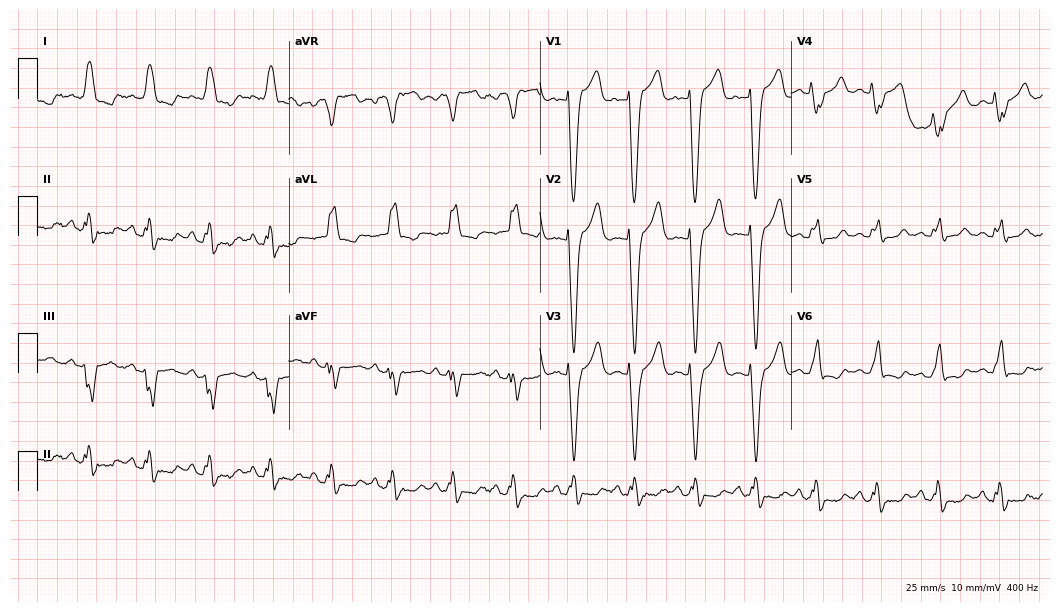
12-lead ECG (10.2-second recording at 400 Hz) from a 65-year-old female patient. Findings include left bundle branch block.